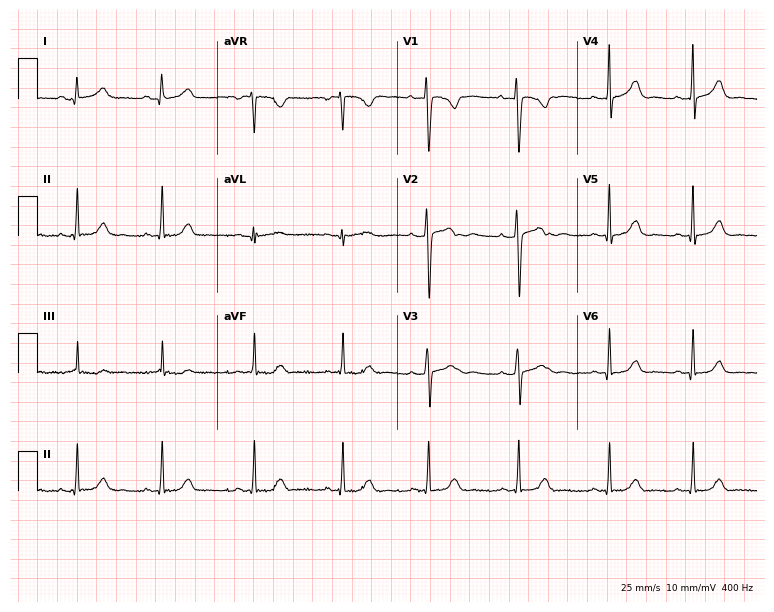
12-lead ECG from a female patient, 18 years old (7.3-second recording at 400 Hz). Recorded interpretation: within normal limits.